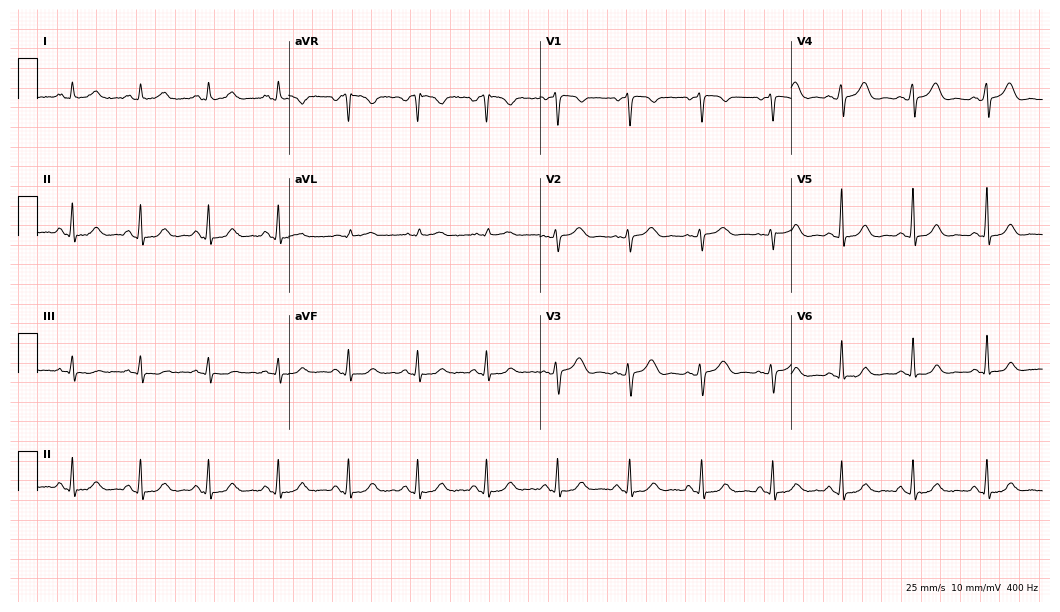
Standard 12-lead ECG recorded from a 32-year-old female. Read as a normal ECG.